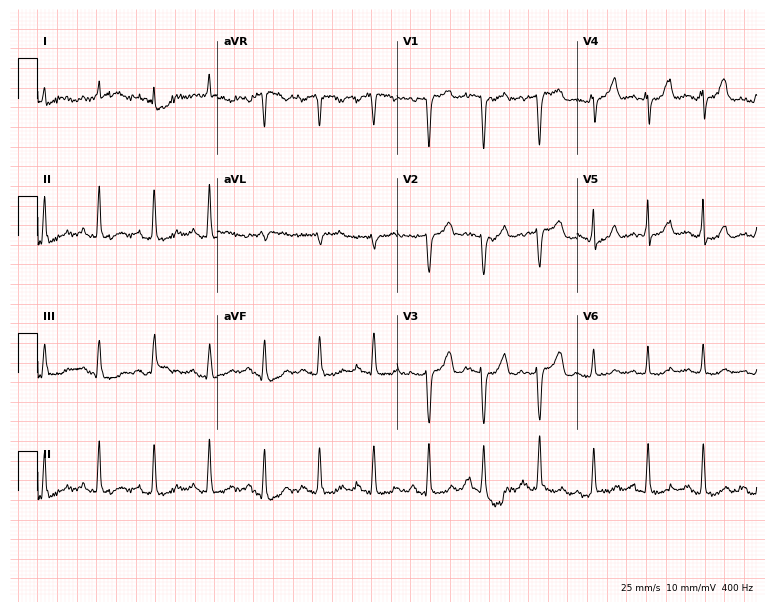
12-lead ECG from a female patient, 84 years old. Screened for six findings — first-degree AV block, right bundle branch block, left bundle branch block, sinus bradycardia, atrial fibrillation, sinus tachycardia — none is recorded. Only these six findings were labelled.